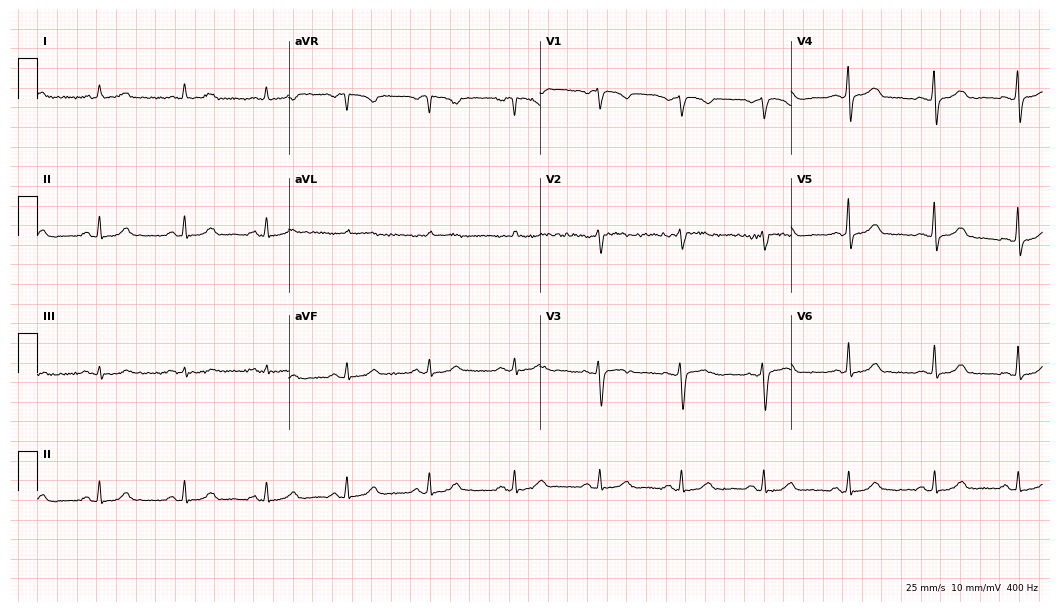
12-lead ECG from a female, 39 years old (10.2-second recording at 400 Hz). No first-degree AV block, right bundle branch block (RBBB), left bundle branch block (LBBB), sinus bradycardia, atrial fibrillation (AF) or sinus tachycardia recorded for this tracing.